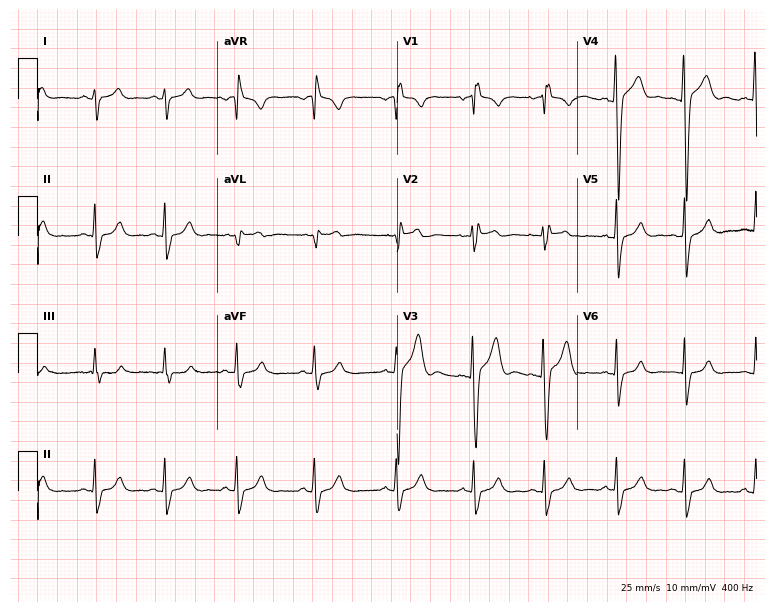
Electrocardiogram, a male, 17 years old. Of the six screened findings (first-degree AV block, right bundle branch block, left bundle branch block, sinus bradycardia, atrial fibrillation, sinus tachycardia), none is recorded. Findings outside these six are not listed.